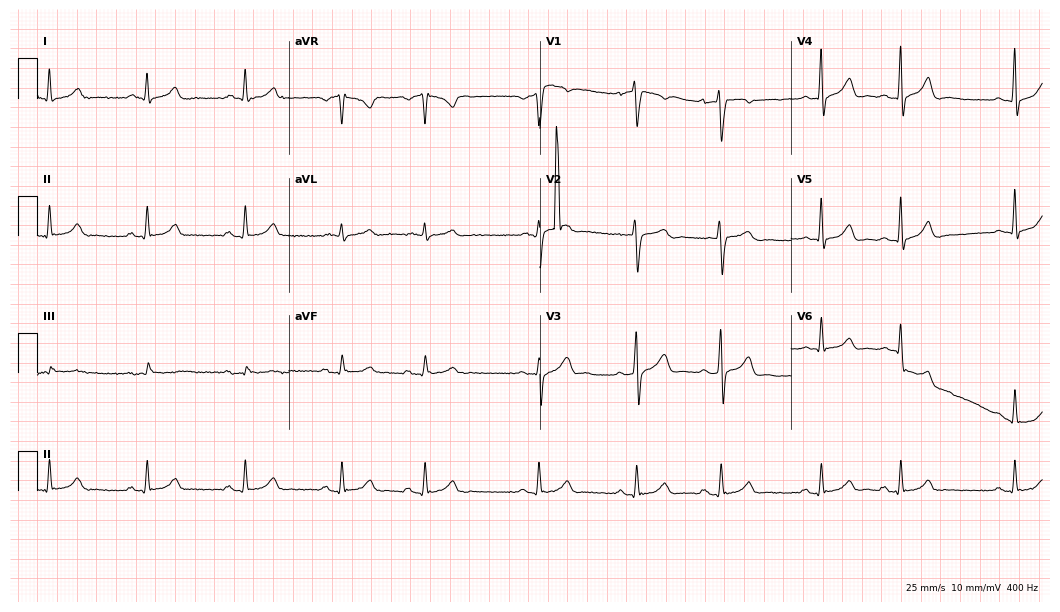
Resting 12-lead electrocardiogram (10.2-second recording at 400 Hz). Patient: a 36-year-old male. Read as a normal ECG.